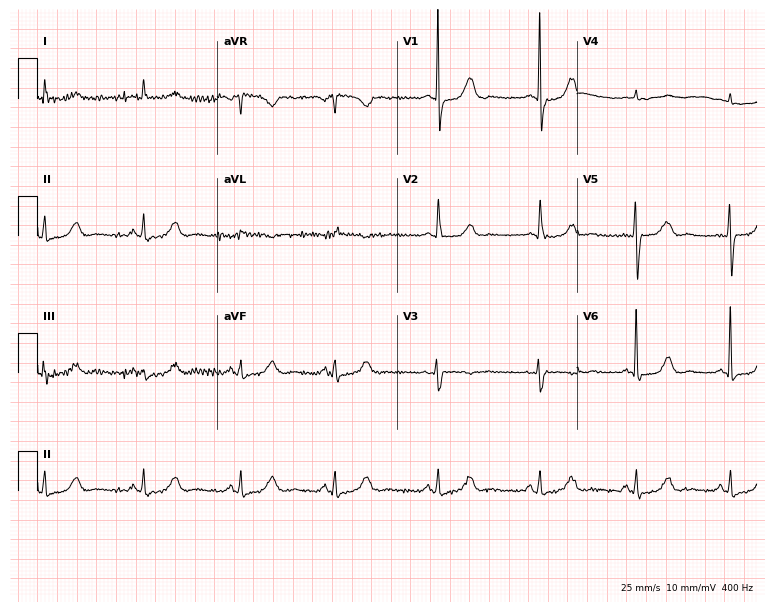
12-lead ECG from a female, 51 years old. Recorded interpretation: within normal limits.